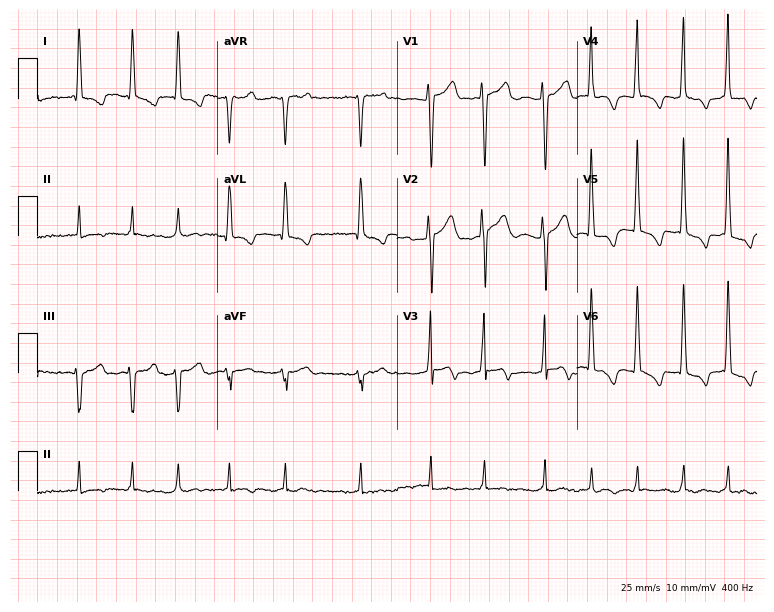
12-lead ECG from a 71-year-old female patient (7.3-second recording at 400 Hz). Shows atrial fibrillation.